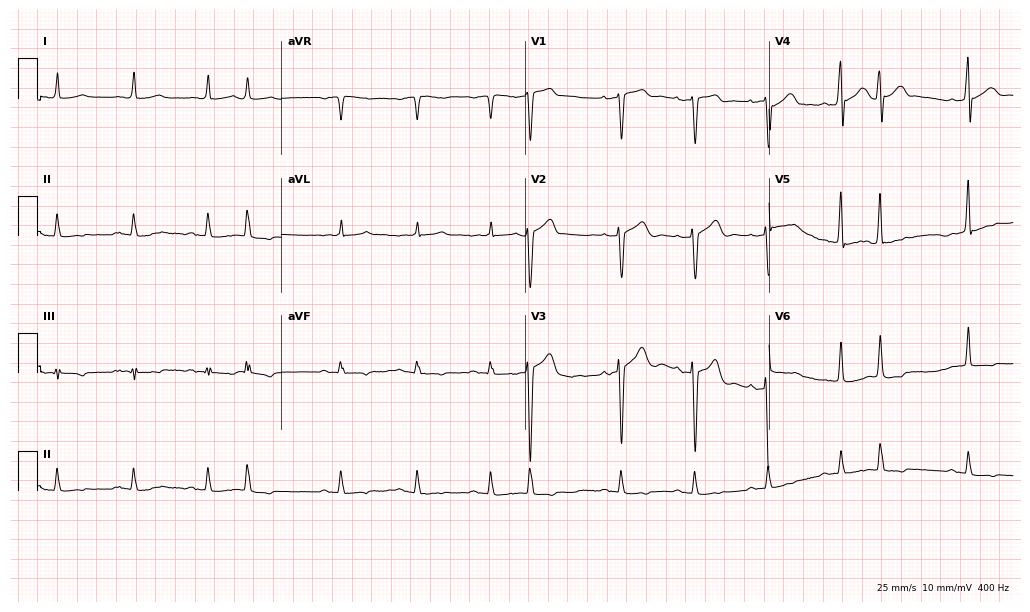
12-lead ECG from a 77-year-old male. Screened for six findings — first-degree AV block, right bundle branch block, left bundle branch block, sinus bradycardia, atrial fibrillation, sinus tachycardia — none is recorded.